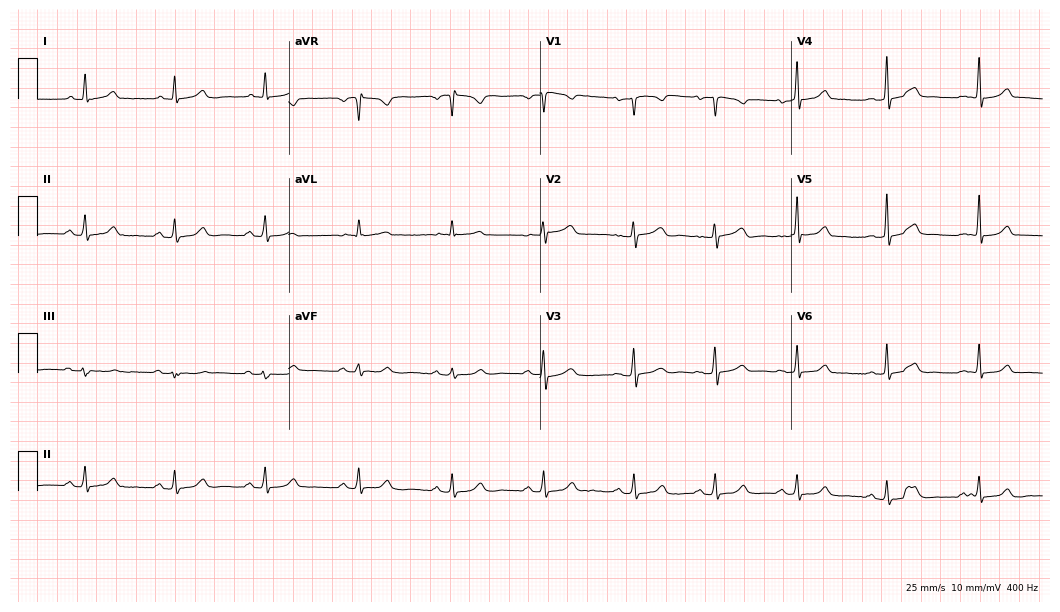
12-lead ECG from a 47-year-old woman. Labelled as a normal ECG.